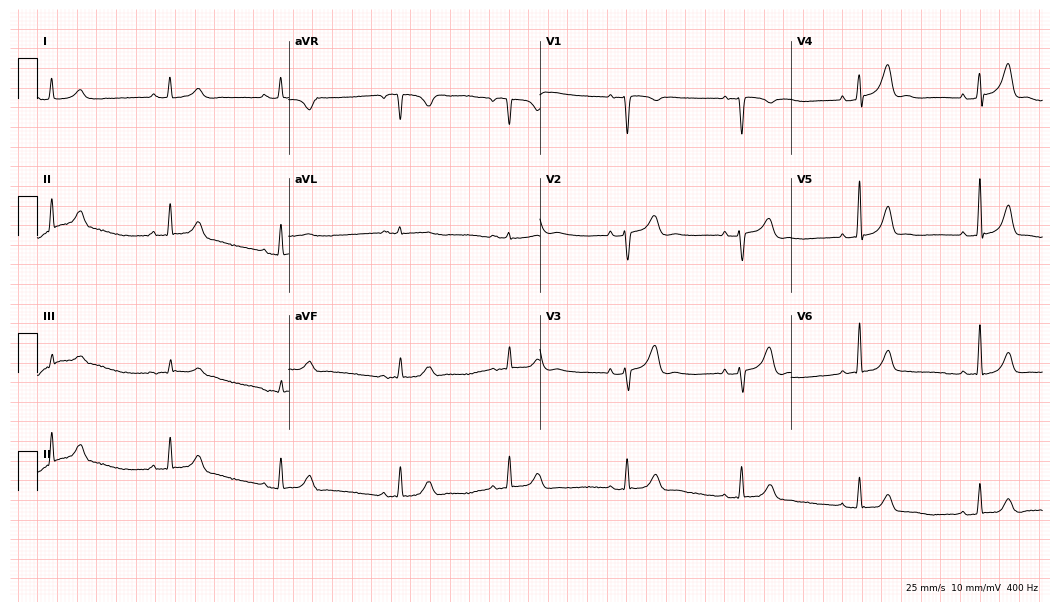
Standard 12-lead ECG recorded from a female, 28 years old. None of these six findings is recorded: first-degree AV block, right bundle branch block, left bundle branch block, sinus bradycardia, atrial fibrillation, sinus tachycardia.